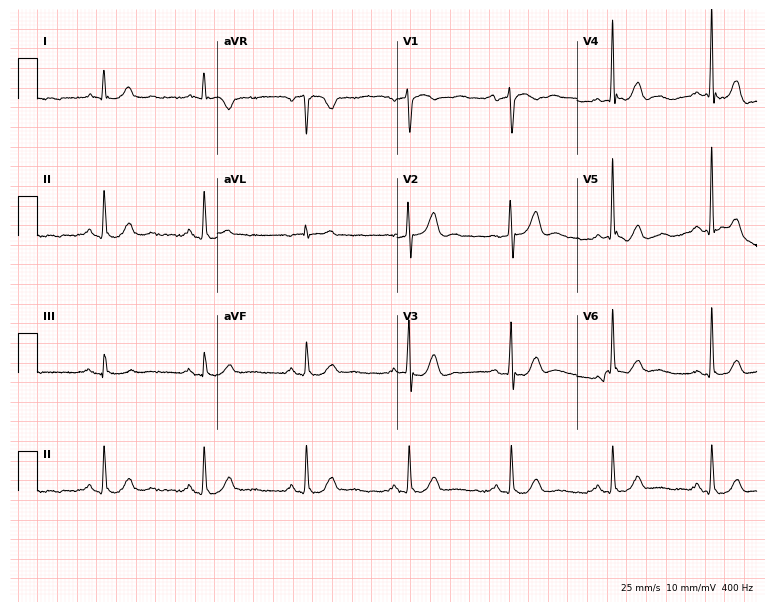
Resting 12-lead electrocardiogram (7.3-second recording at 400 Hz). Patient: a male, 67 years old. None of these six findings is recorded: first-degree AV block, right bundle branch block, left bundle branch block, sinus bradycardia, atrial fibrillation, sinus tachycardia.